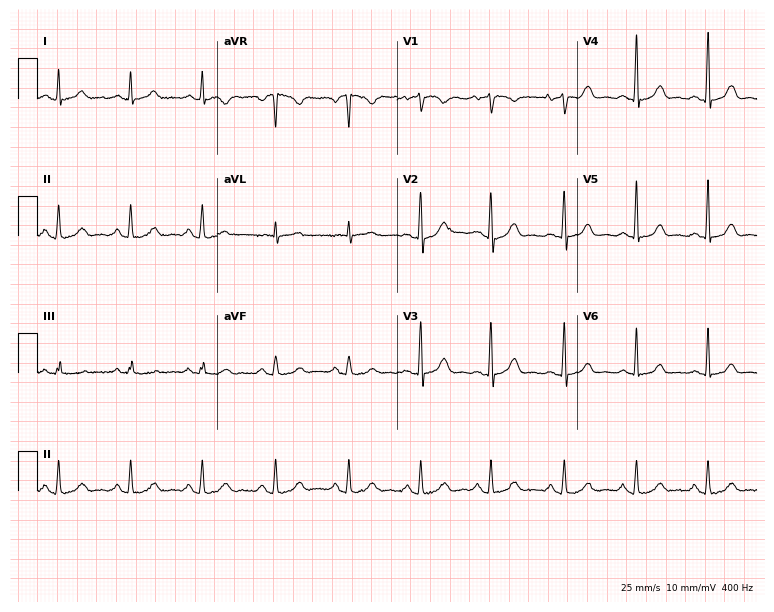
12-lead ECG from a female, 41 years old (7.3-second recording at 400 Hz). No first-degree AV block, right bundle branch block (RBBB), left bundle branch block (LBBB), sinus bradycardia, atrial fibrillation (AF) or sinus tachycardia recorded for this tracing. Findings outside these six are not listed.